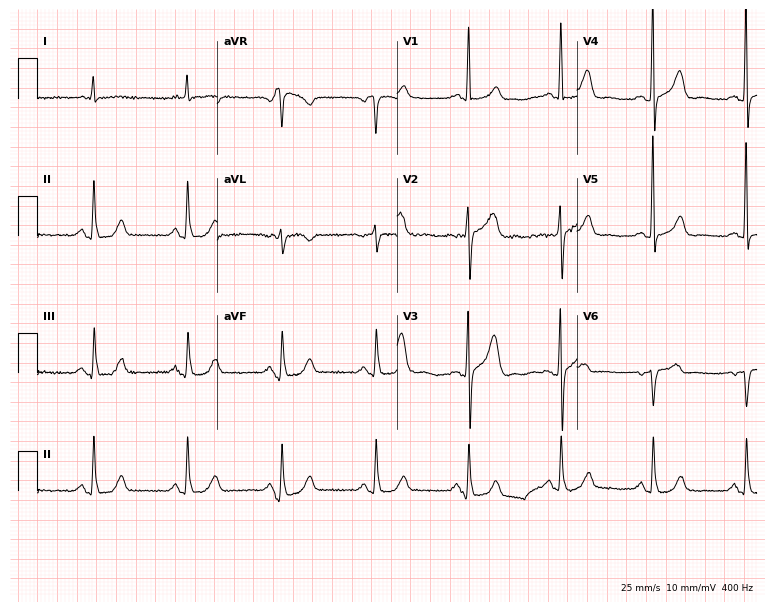
Electrocardiogram (7.3-second recording at 400 Hz), a man, 66 years old. Overall reading on record: normal ECG.